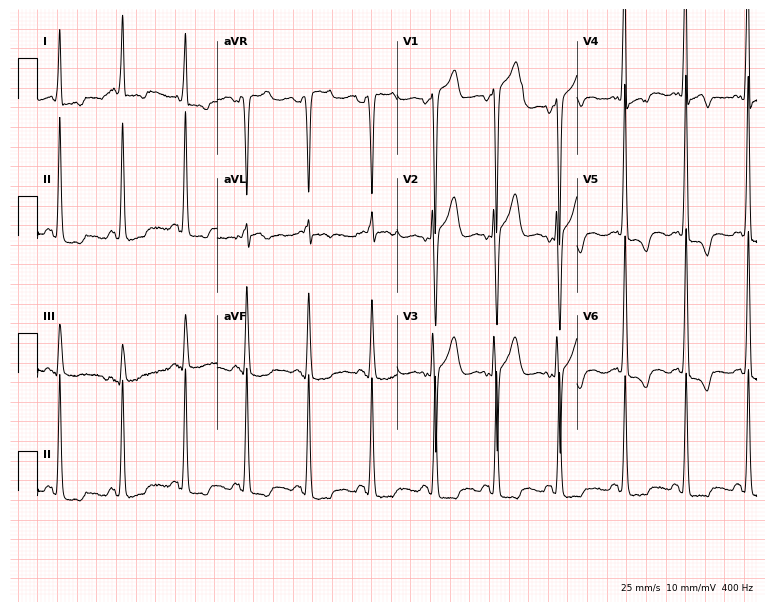
Resting 12-lead electrocardiogram. Patient: a woman, 78 years old. None of these six findings is recorded: first-degree AV block, right bundle branch block, left bundle branch block, sinus bradycardia, atrial fibrillation, sinus tachycardia. Only these six findings were labelled.